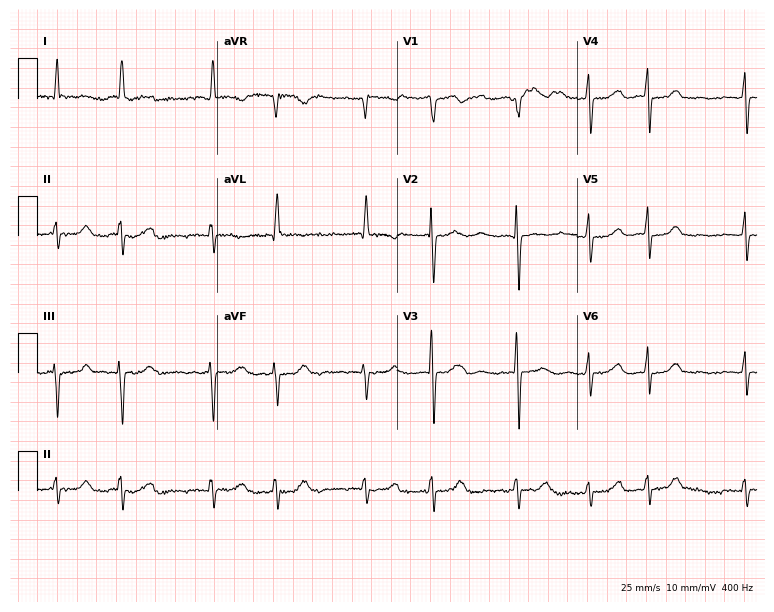
ECG — a female, 85 years old. Findings include atrial fibrillation.